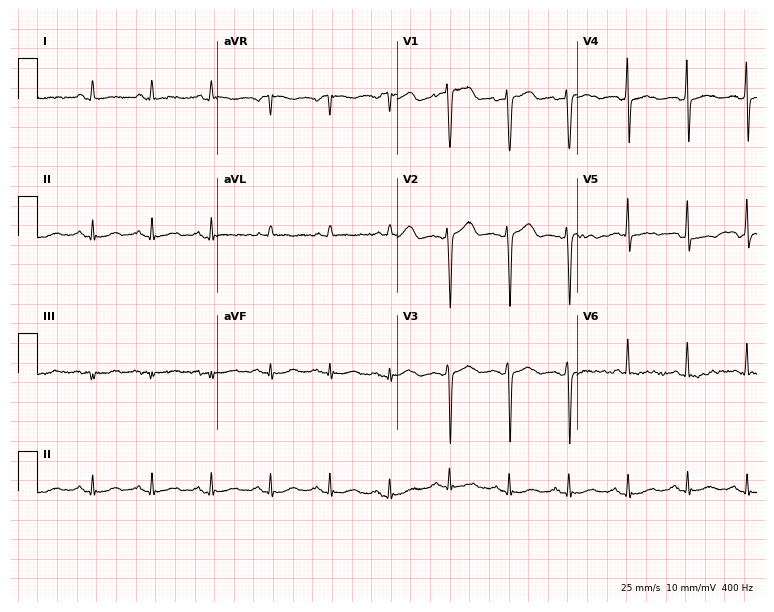
ECG (7.3-second recording at 400 Hz) — a woman, 59 years old. Screened for six findings — first-degree AV block, right bundle branch block, left bundle branch block, sinus bradycardia, atrial fibrillation, sinus tachycardia — none is recorded. Other findings, if any, are not listed.